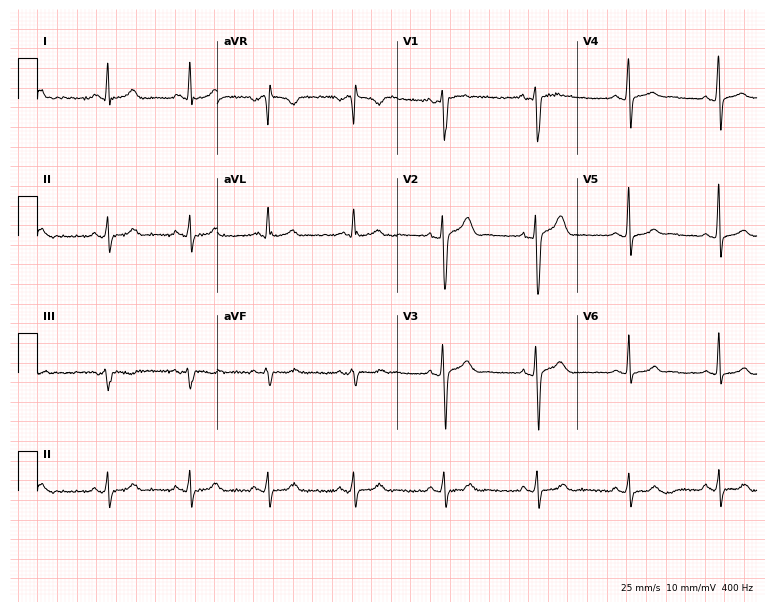
12-lead ECG from a 45-year-old male patient. Recorded interpretation: within normal limits.